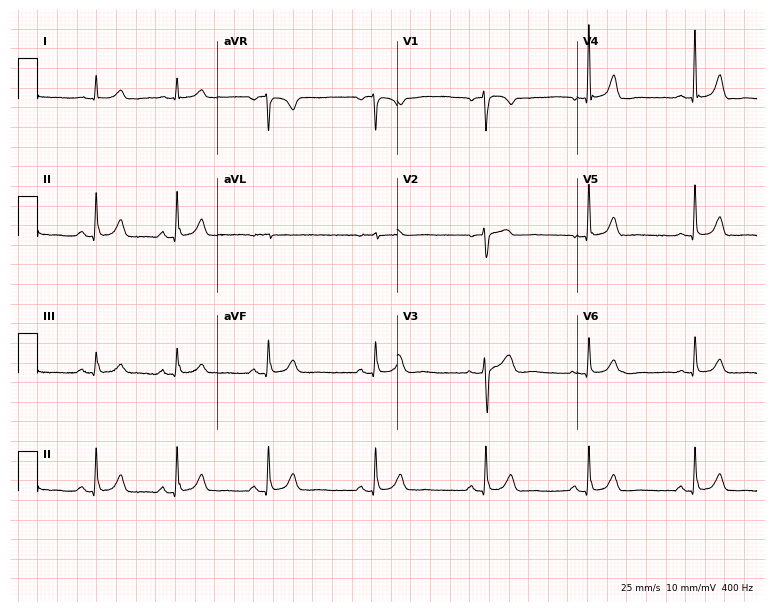
Resting 12-lead electrocardiogram (7.3-second recording at 400 Hz). Patient: a female, 71 years old. Read as a normal ECG.